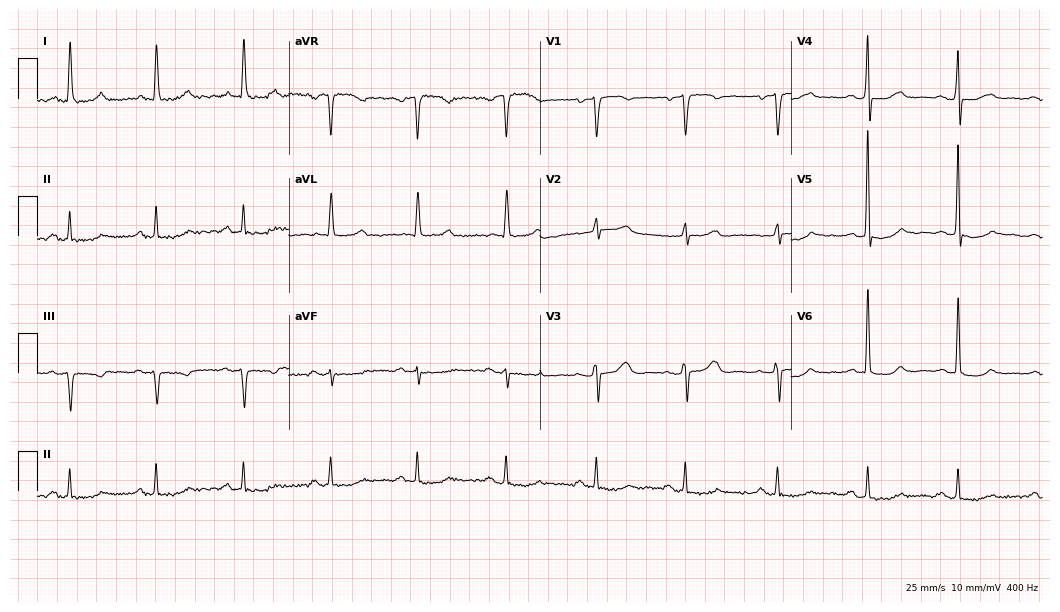
Electrocardiogram, a female, 70 years old. Of the six screened findings (first-degree AV block, right bundle branch block, left bundle branch block, sinus bradycardia, atrial fibrillation, sinus tachycardia), none is recorded. Only these six findings were labelled.